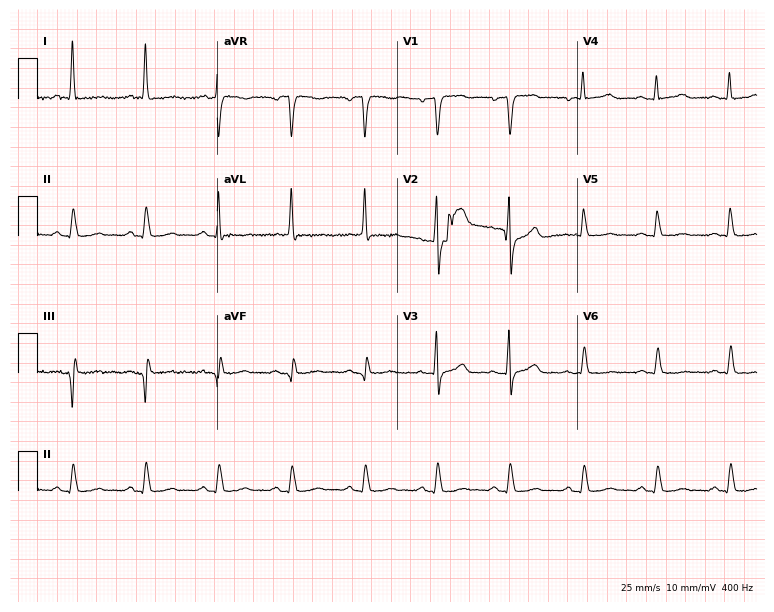
ECG — a male, 66 years old. Screened for six findings — first-degree AV block, right bundle branch block, left bundle branch block, sinus bradycardia, atrial fibrillation, sinus tachycardia — none is recorded. Only these six findings were labelled.